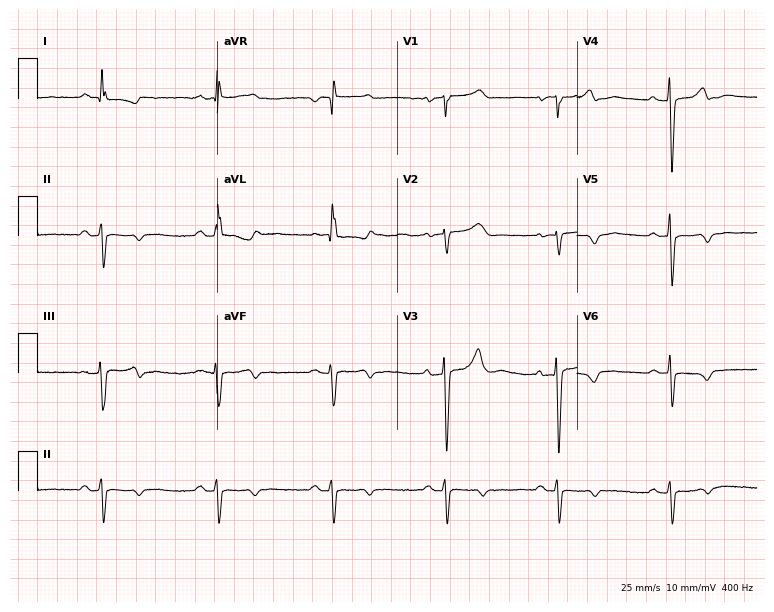
Standard 12-lead ECG recorded from a 67-year-old female (7.3-second recording at 400 Hz). None of these six findings is recorded: first-degree AV block, right bundle branch block (RBBB), left bundle branch block (LBBB), sinus bradycardia, atrial fibrillation (AF), sinus tachycardia.